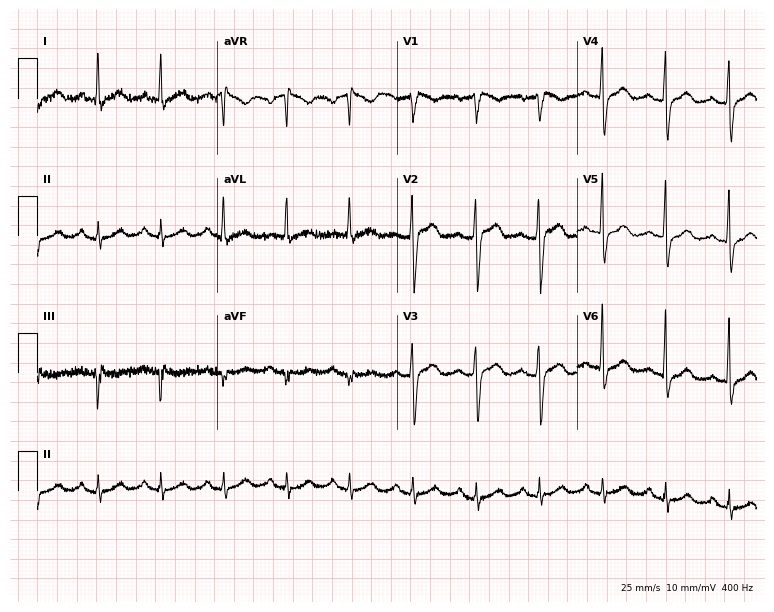
Standard 12-lead ECG recorded from a 67-year-old male (7.3-second recording at 400 Hz). Read as a normal ECG.